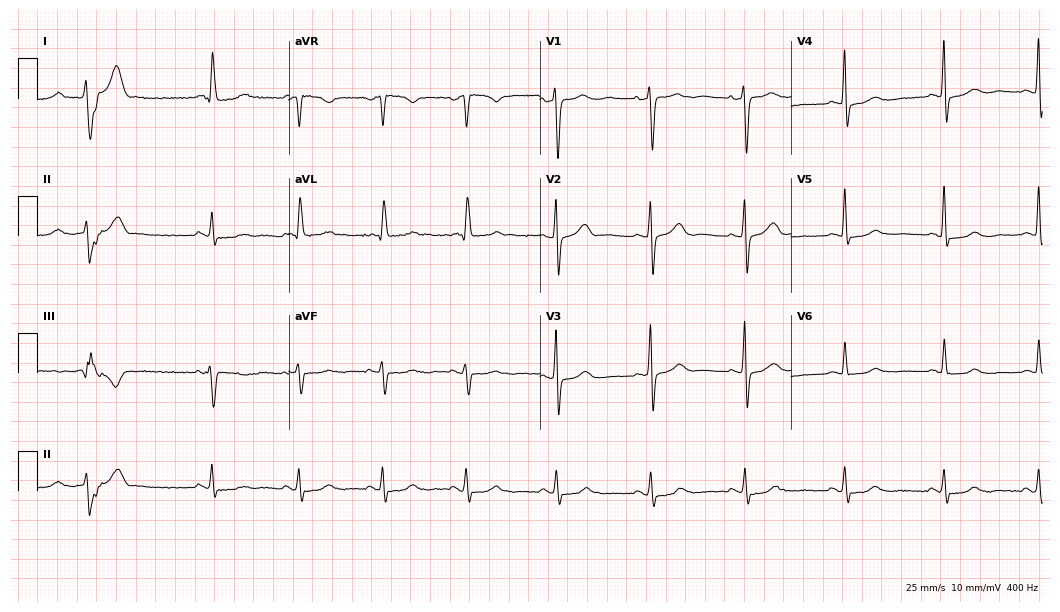
ECG (10.2-second recording at 400 Hz) — a female patient, 69 years old. Screened for six findings — first-degree AV block, right bundle branch block, left bundle branch block, sinus bradycardia, atrial fibrillation, sinus tachycardia — none is recorded. Findings outside these six are not listed.